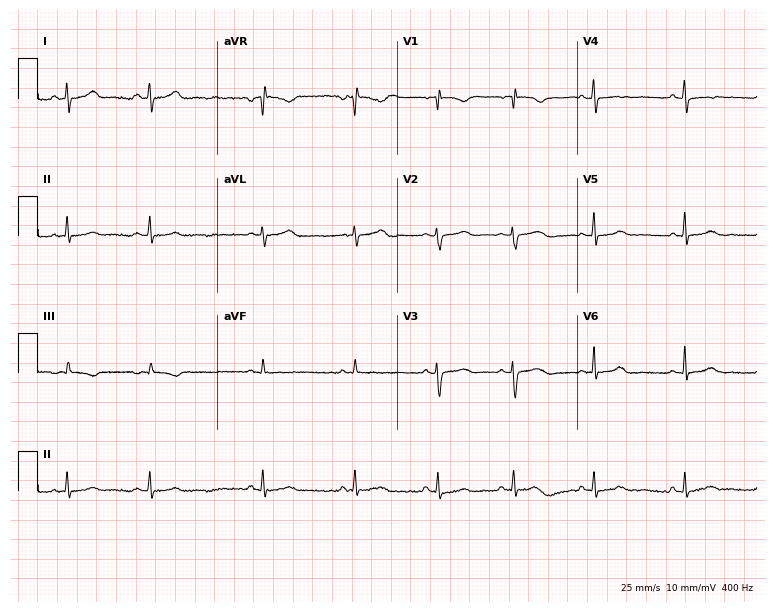
Electrocardiogram, a 17-year-old female. Of the six screened findings (first-degree AV block, right bundle branch block, left bundle branch block, sinus bradycardia, atrial fibrillation, sinus tachycardia), none is recorded.